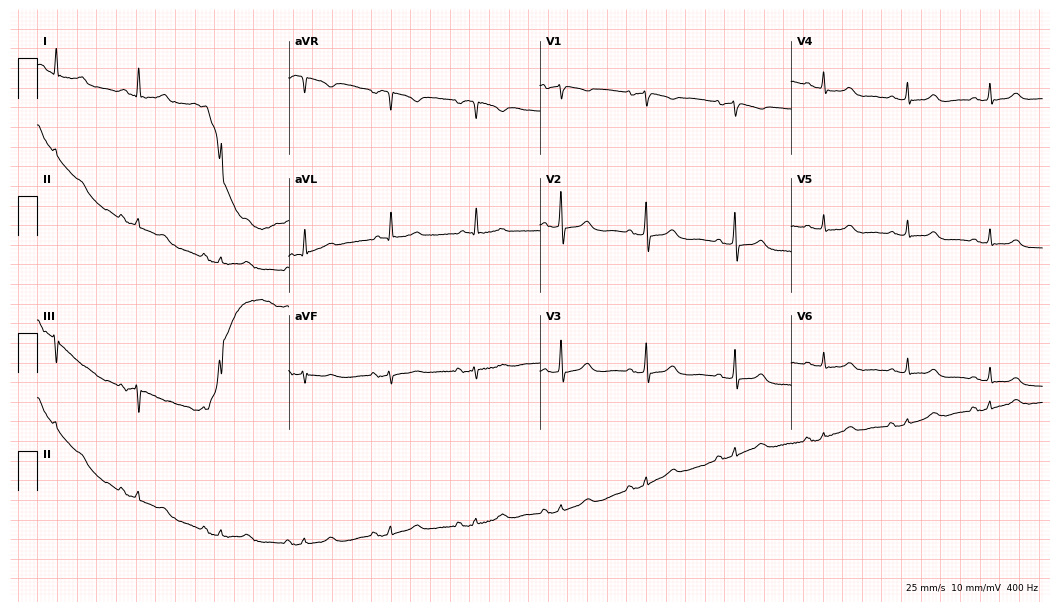
Electrocardiogram (10.2-second recording at 400 Hz), a 74-year-old woman. Of the six screened findings (first-degree AV block, right bundle branch block (RBBB), left bundle branch block (LBBB), sinus bradycardia, atrial fibrillation (AF), sinus tachycardia), none is recorded. Only these six findings were labelled.